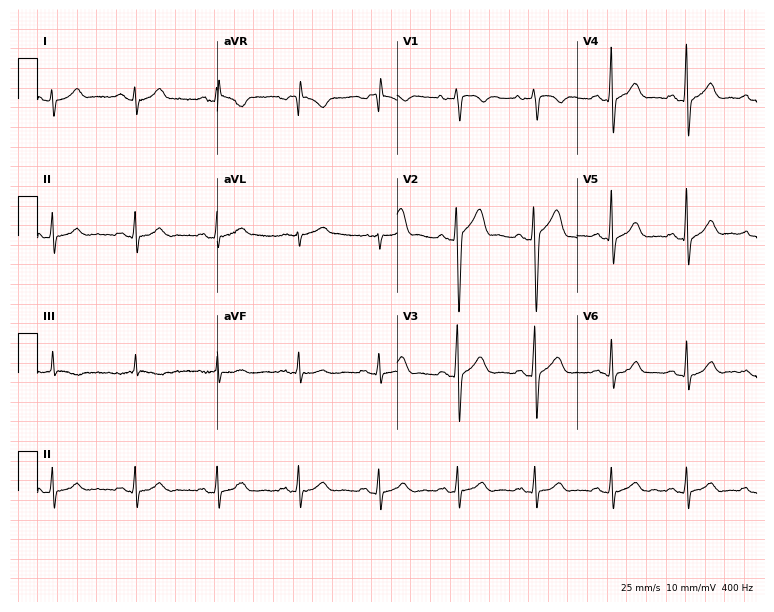
12-lead ECG from a 40-year-old man. No first-degree AV block, right bundle branch block, left bundle branch block, sinus bradycardia, atrial fibrillation or sinus tachycardia recorded for this tracing. Findings outside these six are not listed.